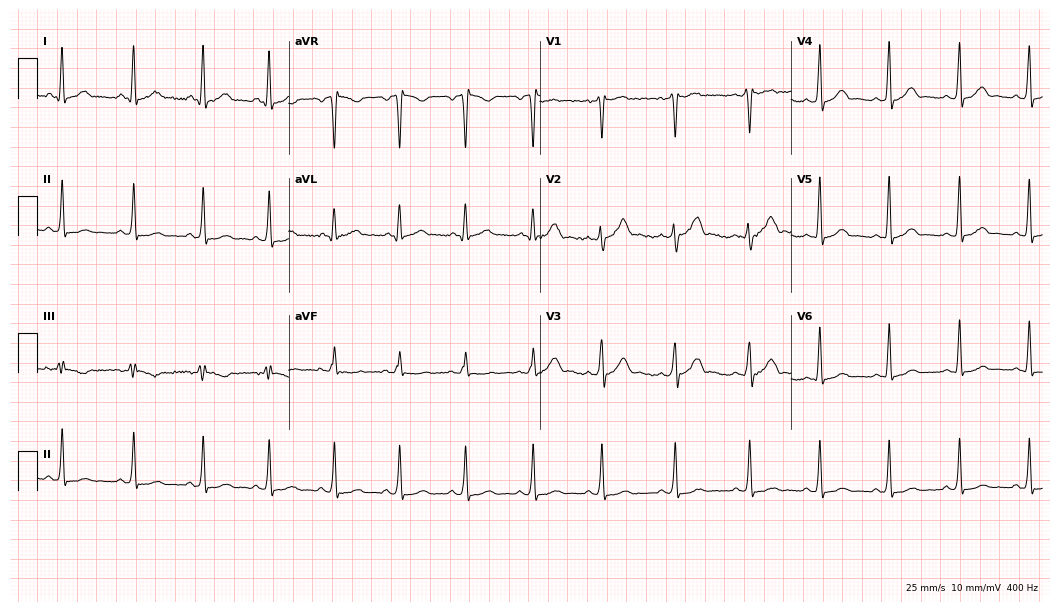
12-lead ECG from a 19-year-old man. Labelled as a normal ECG.